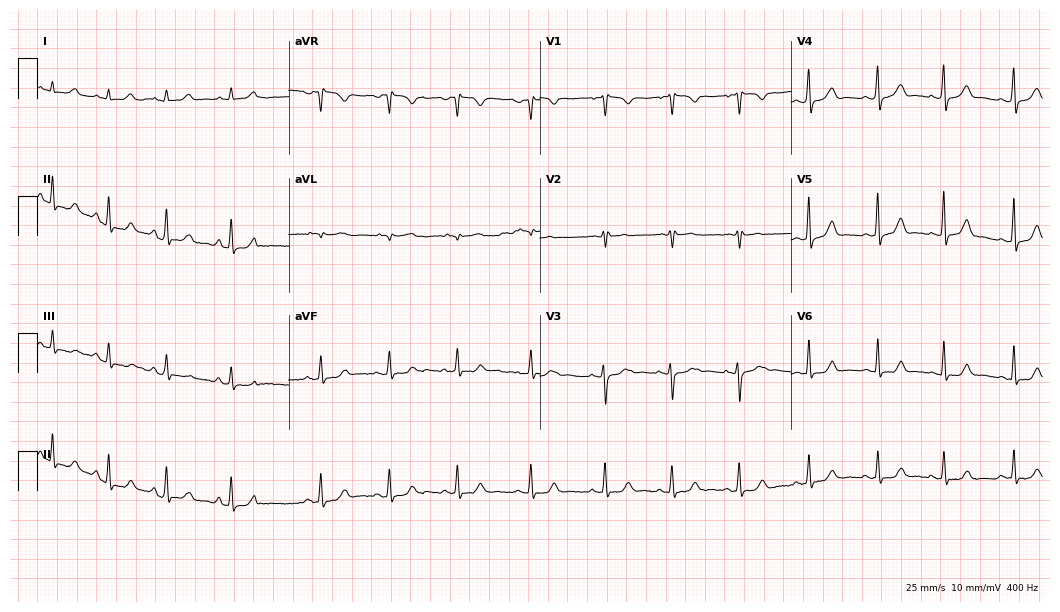
Standard 12-lead ECG recorded from a female, 22 years old (10.2-second recording at 400 Hz). None of these six findings is recorded: first-degree AV block, right bundle branch block (RBBB), left bundle branch block (LBBB), sinus bradycardia, atrial fibrillation (AF), sinus tachycardia. Findings outside these six are not listed.